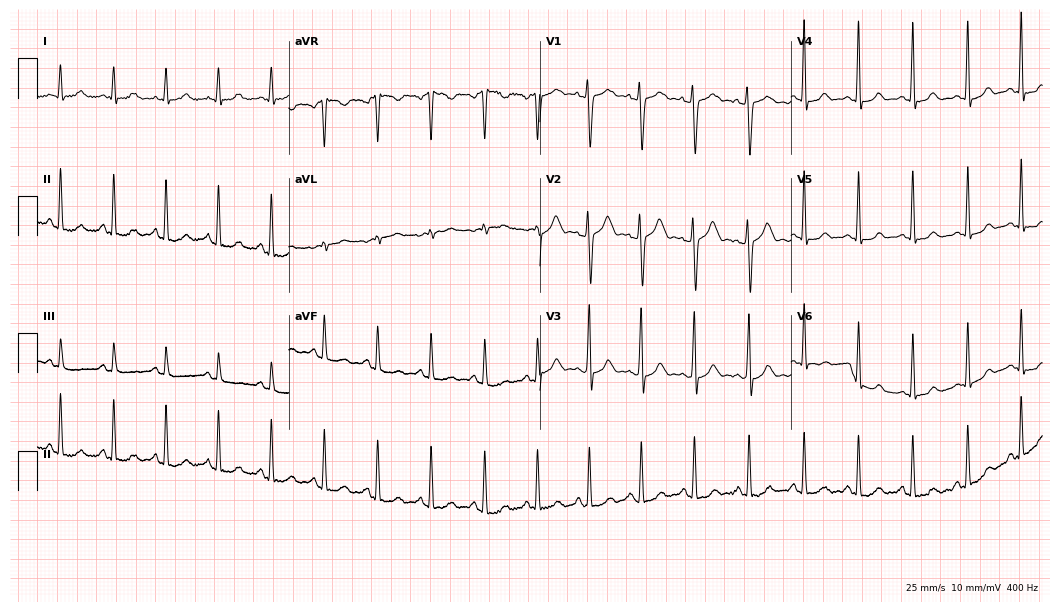
12-lead ECG from a 17-year-old female. Findings include sinus tachycardia (a sinus rate of 100 beats per minute or more).